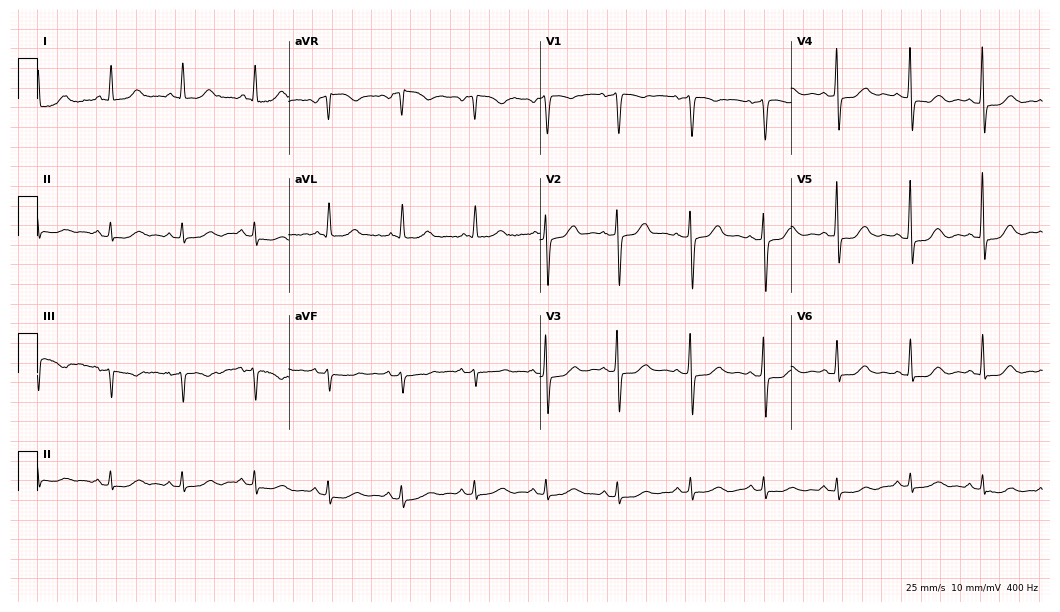
Electrocardiogram (10.2-second recording at 400 Hz), a female, 85 years old. Of the six screened findings (first-degree AV block, right bundle branch block, left bundle branch block, sinus bradycardia, atrial fibrillation, sinus tachycardia), none is recorded. Findings outside these six are not listed.